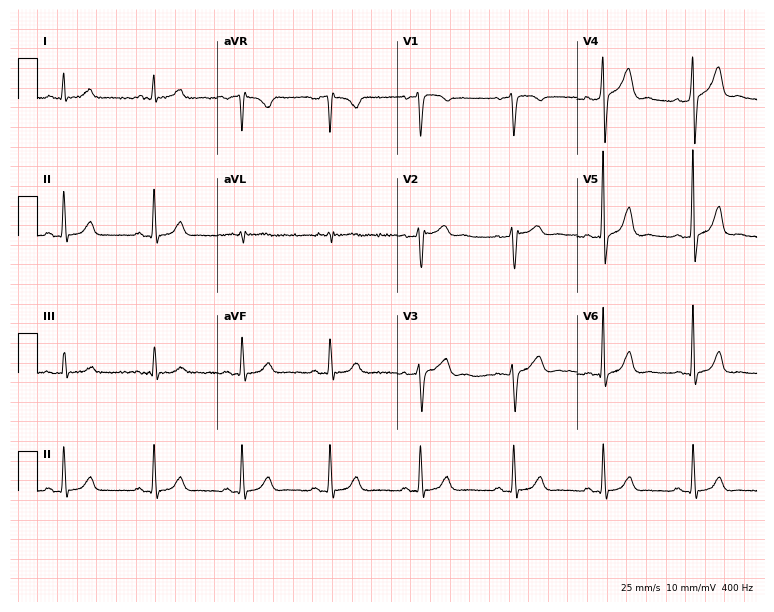
Resting 12-lead electrocardiogram. Patient: a male, 45 years old. None of these six findings is recorded: first-degree AV block, right bundle branch block, left bundle branch block, sinus bradycardia, atrial fibrillation, sinus tachycardia.